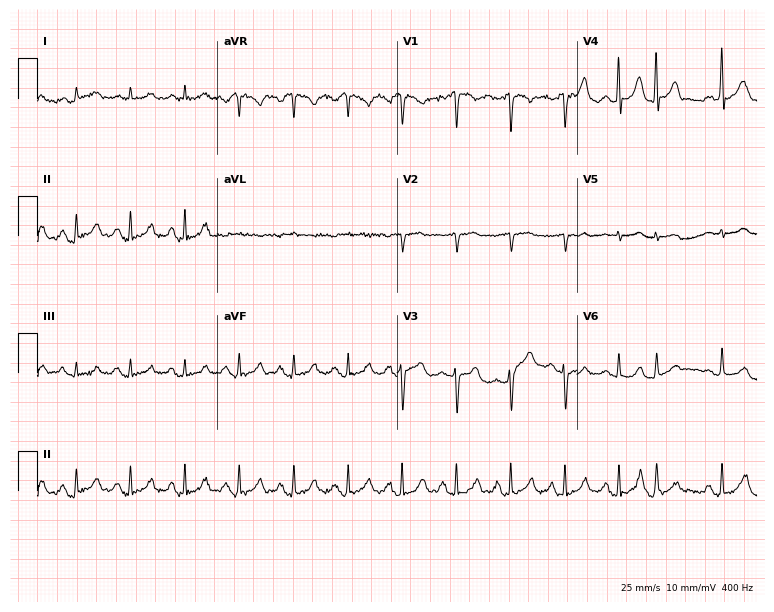
Electrocardiogram, a male patient, 73 years old. Interpretation includes sinus tachycardia (a sinus rate of 100 beats per minute or more).